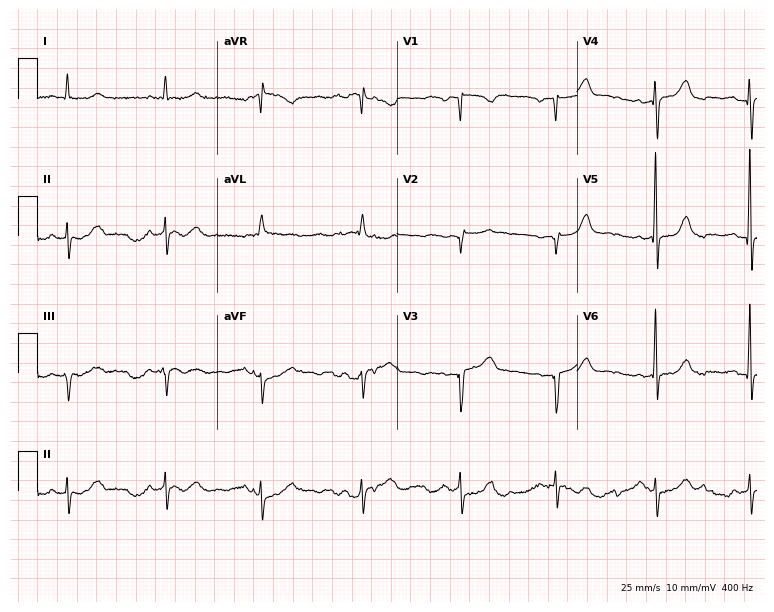
Electrocardiogram, a female, 84 years old. Of the six screened findings (first-degree AV block, right bundle branch block (RBBB), left bundle branch block (LBBB), sinus bradycardia, atrial fibrillation (AF), sinus tachycardia), none is recorded.